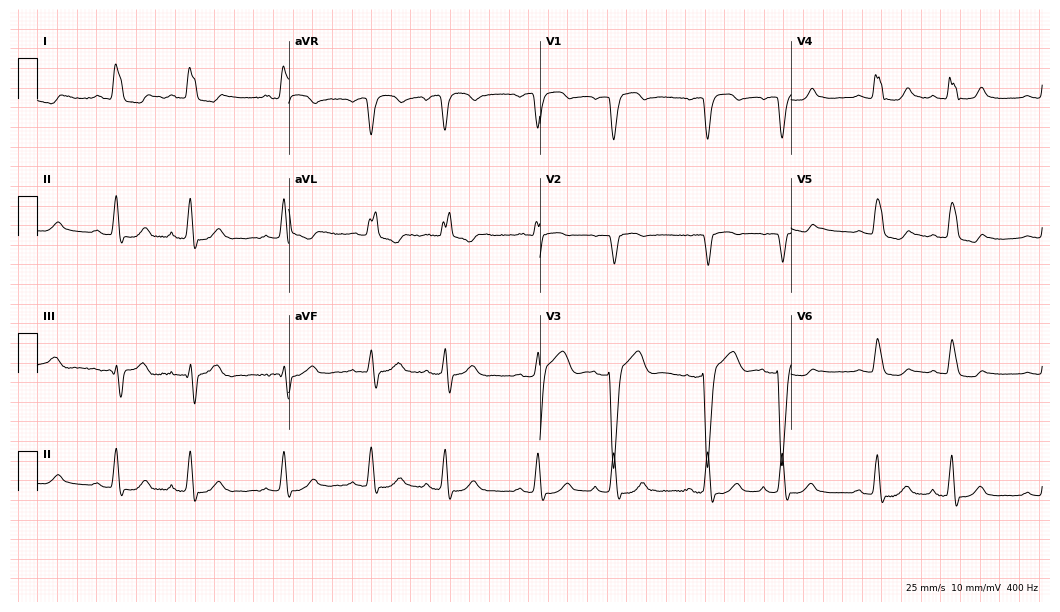
12-lead ECG (10.2-second recording at 400 Hz) from a 71-year-old woman. Findings include left bundle branch block.